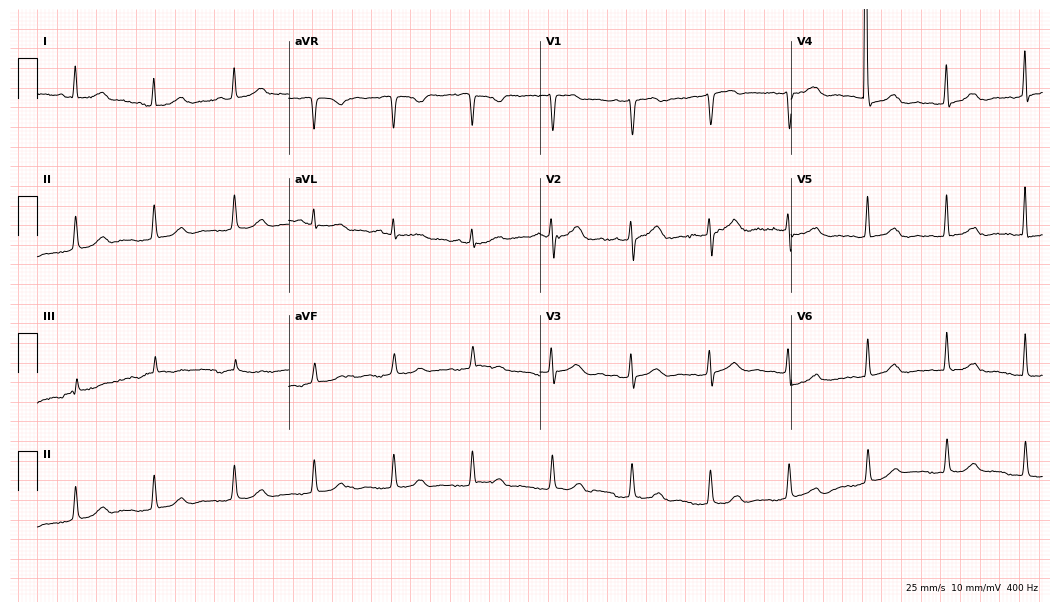
Resting 12-lead electrocardiogram (10.2-second recording at 400 Hz). Patient: a 64-year-old woman. The tracing shows left bundle branch block.